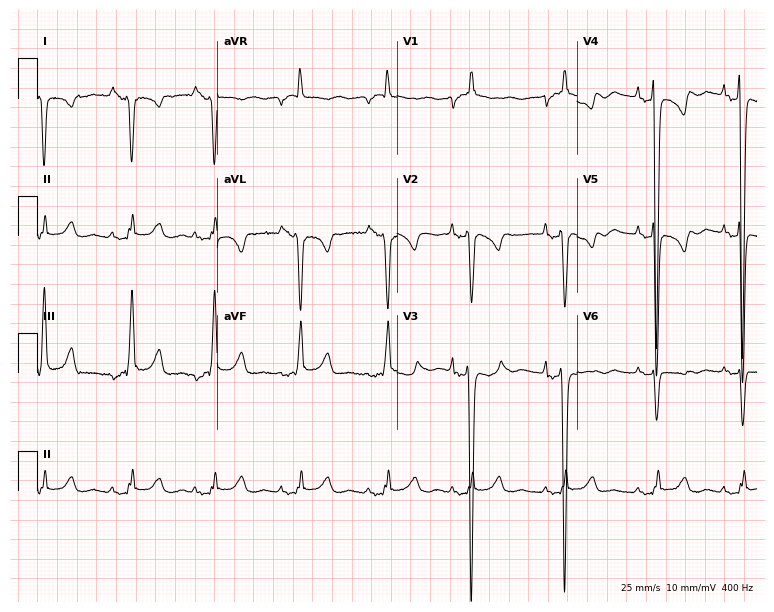
Standard 12-lead ECG recorded from a 24-year-old man (7.3-second recording at 400 Hz). None of these six findings is recorded: first-degree AV block, right bundle branch block, left bundle branch block, sinus bradycardia, atrial fibrillation, sinus tachycardia. Findings outside these six are not listed.